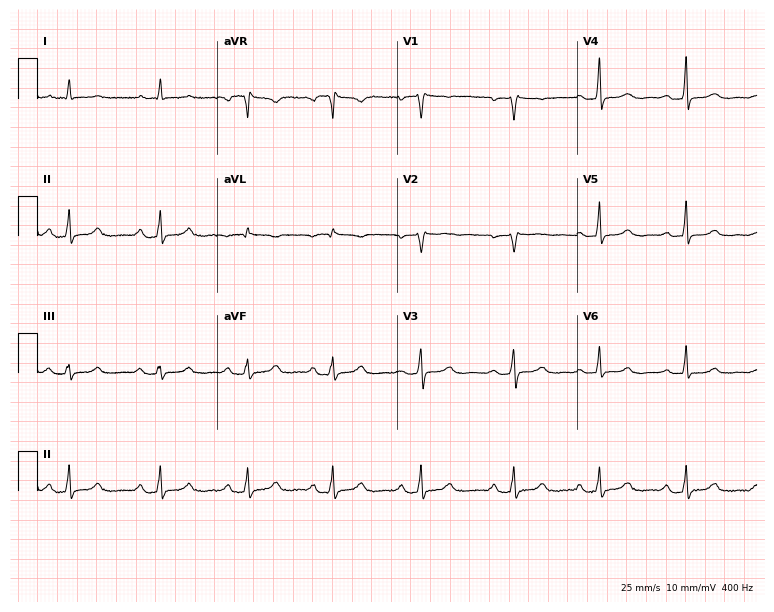
Electrocardiogram, a woman, 50 years old. Of the six screened findings (first-degree AV block, right bundle branch block, left bundle branch block, sinus bradycardia, atrial fibrillation, sinus tachycardia), none is recorded.